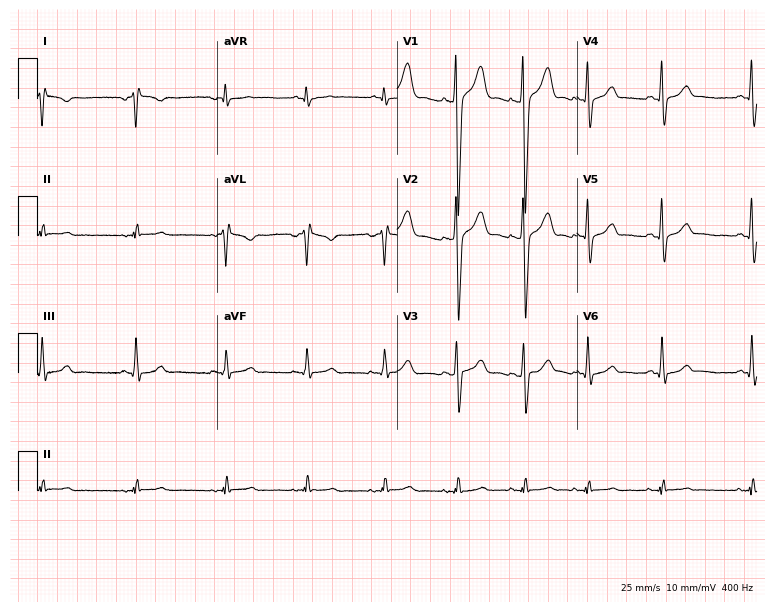
Electrocardiogram (7.3-second recording at 400 Hz), a man, 21 years old. Of the six screened findings (first-degree AV block, right bundle branch block, left bundle branch block, sinus bradycardia, atrial fibrillation, sinus tachycardia), none is recorded.